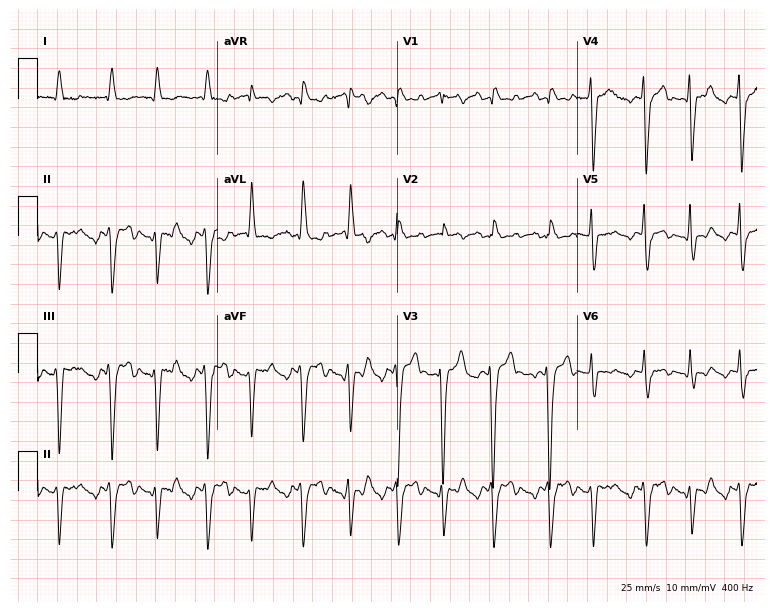
12-lead ECG from a male patient, 77 years old. No first-degree AV block, right bundle branch block (RBBB), left bundle branch block (LBBB), sinus bradycardia, atrial fibrillation (AF) or sinus tachycardia recorded for this tracing.